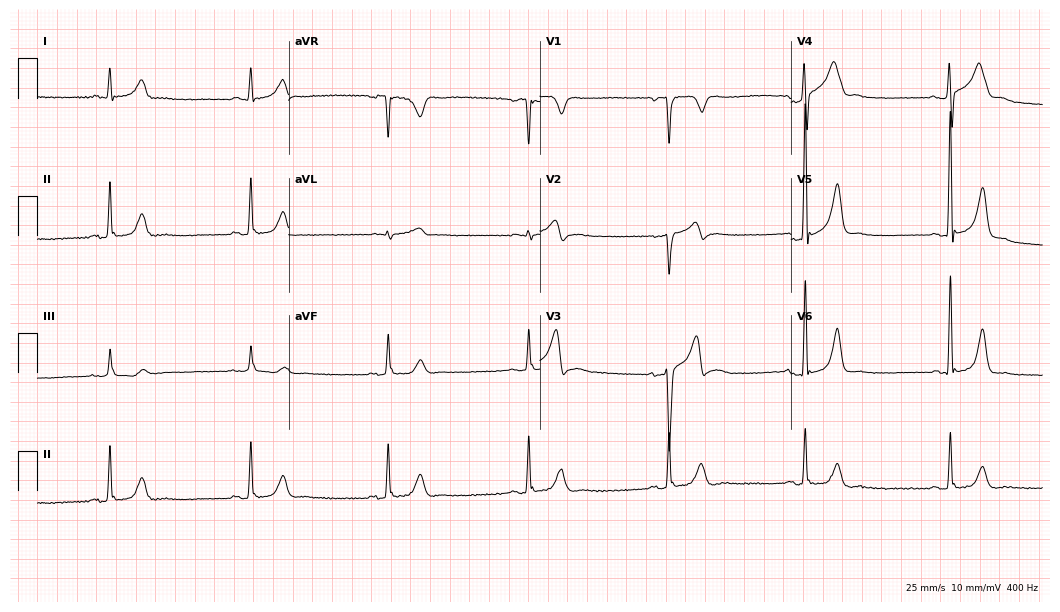
Standard 12-lead ECG recorded from a 46-year-old man. The tracing shows sinus bradycardia (a sinus rate of 50 beats per minute or less).